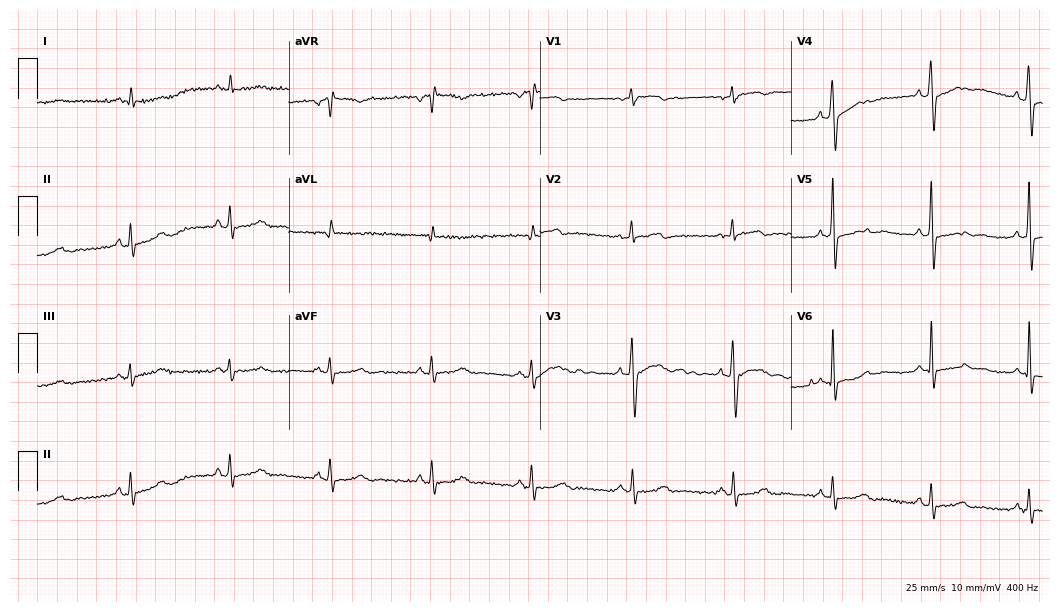
Resting 12-lead electrocardiogram (10.2-second recording at 400 Hz). Patient: a man, 78 years old. None of these six findings is recorded: first-degree AV block, right bundle branch block (RBBB), left bundle branch block (LBBB), sinus bradycardia, atrial fibrillation (AF), sinus tachycardia.